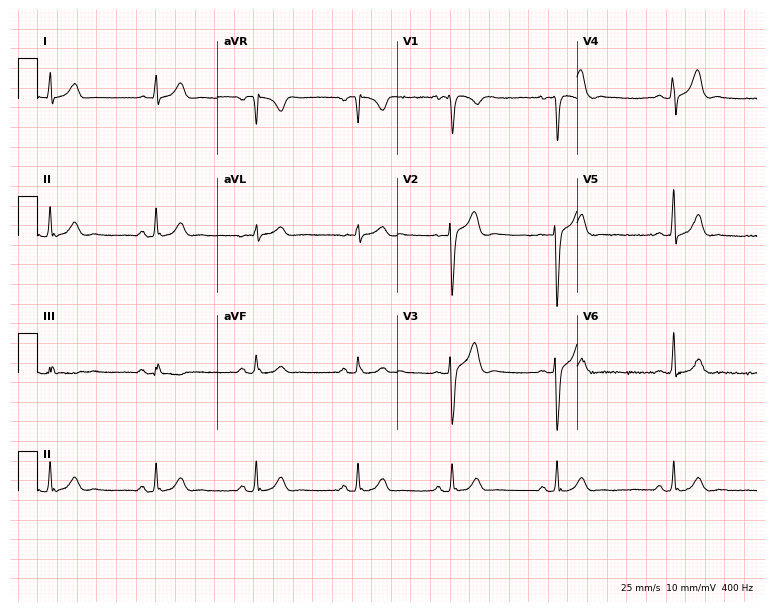
Standard 12-lead ECG recorded from a 22-year-old man. Read as a normal ECG.